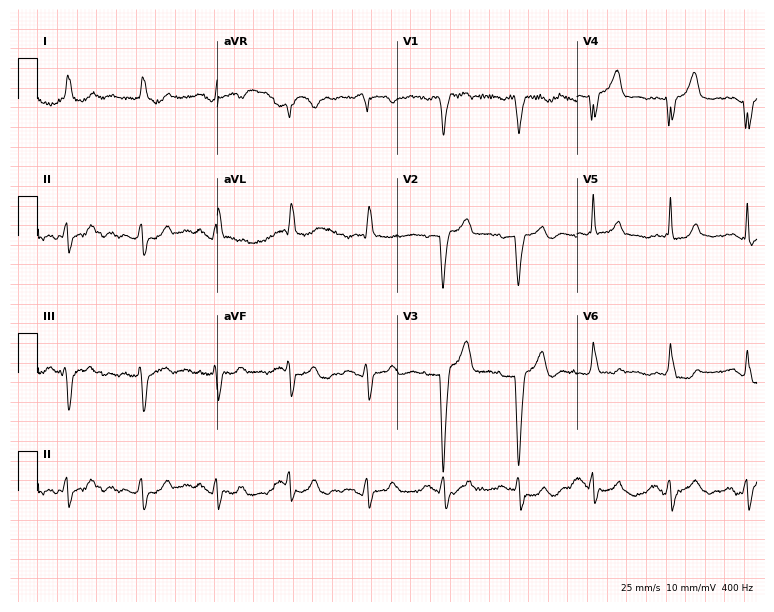
ECG (7.3-second recording at 400 Hz) — a female patient, 76 years old. Screened for six findings — first-degree AV block, right bundle branch block (RBBB), left bundle branch block (LBBB), sinus bradycardia, atrial fibrillation (AF), sinus tachycardia — none is recorded.